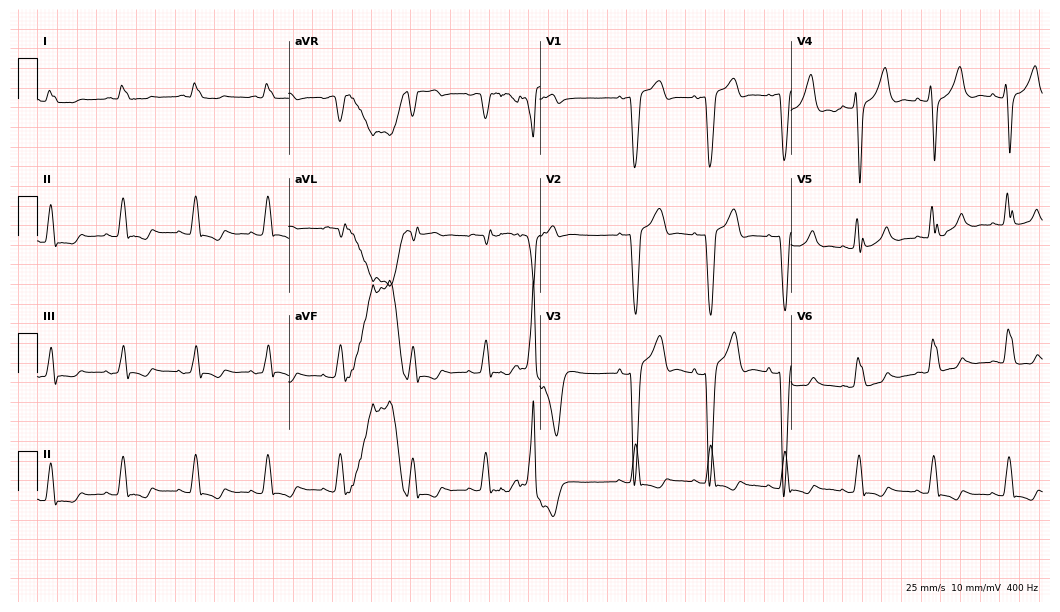
Resting 12-lead electrocardiogram (10.2-second recording at 400 Hz). Patient: a 76-year-old male. None of these six findings is recorded: first-degree AV block, right bundle branch block (RBBB), left bundle branch block (LBBB), sinus bradycardia, atrial fibrillation (AF), sinus tachycardia.